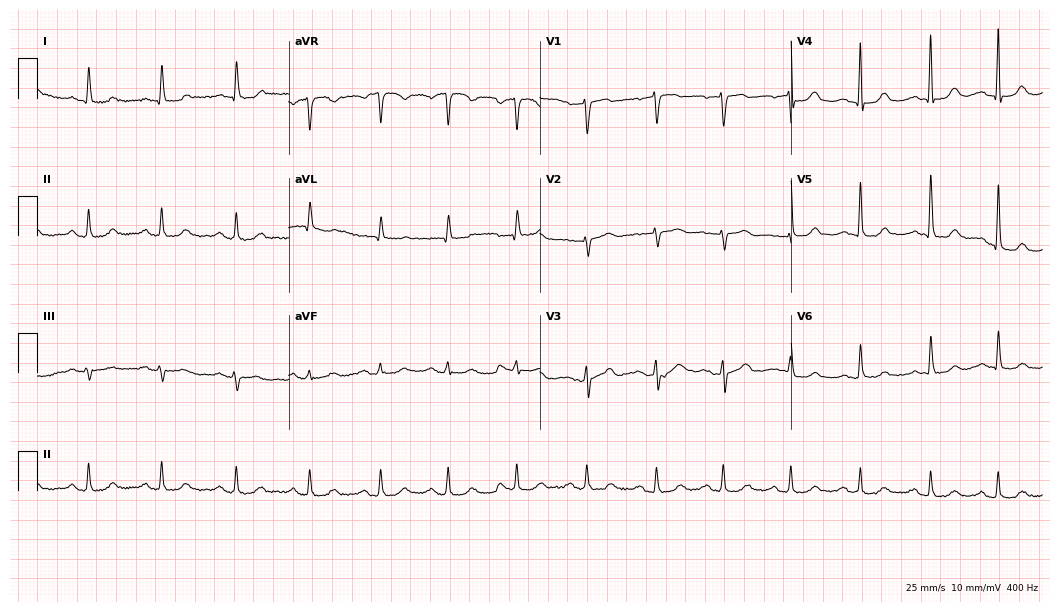
Resting 12-lead electrocardiogram (10.2-second recording at 400 Hz). Patient: a female, 65 years old. Read as a normal ECG.